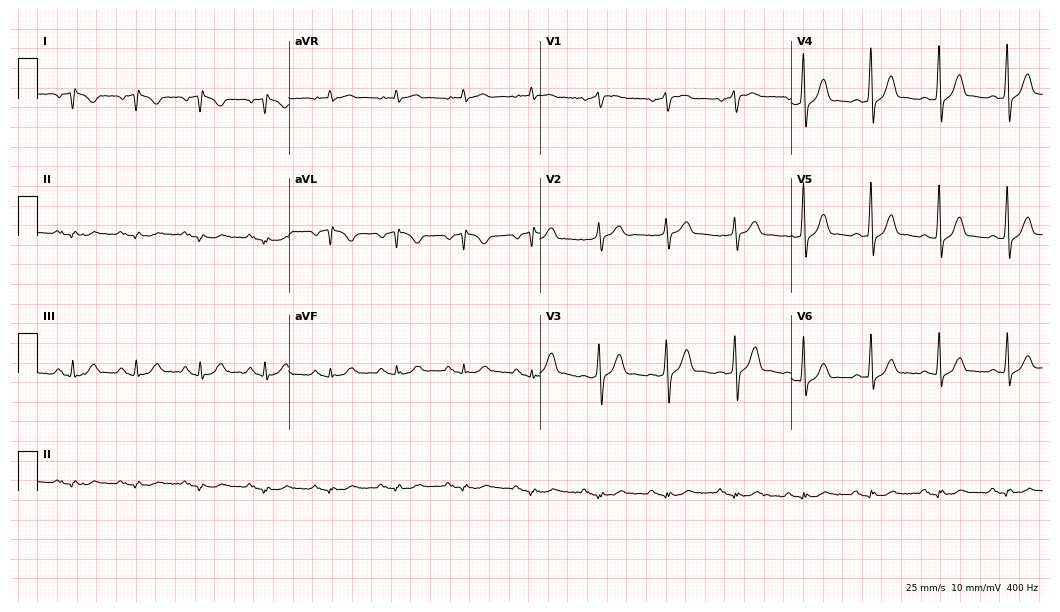
ECG — a man, 71 years old. Screened for six findings — first-degree AV block, right bundle branch block (RBBB), left bundle branch block (LBBB), sinus bradycardia, atrial fibrillation (AF), sinus tachycardia — none is recorded. Findings outside these six are not listed.